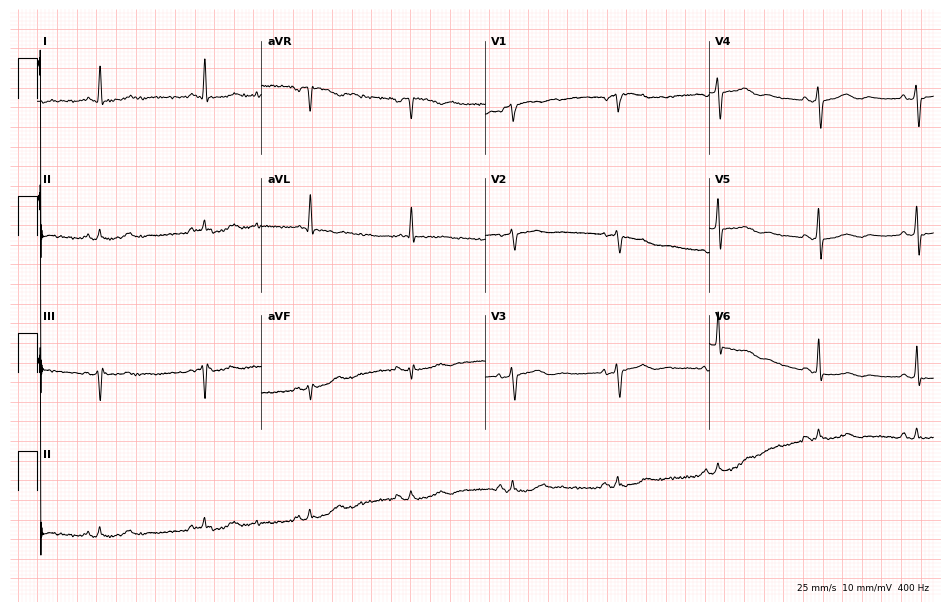
Electrocardiogram (9.1-second recording at 400 Hz), a 73-year-old female. Overall reading on record: normal ECG.